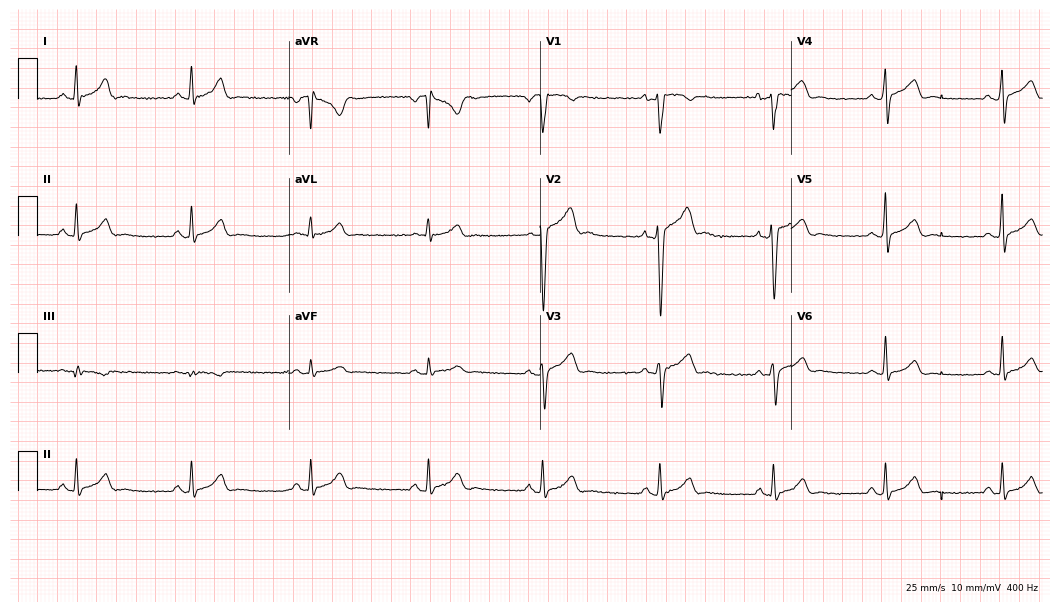
Resting 12-lead electrocardiogram. Patient: a woman, 38 years old. Read as a normal ECG.